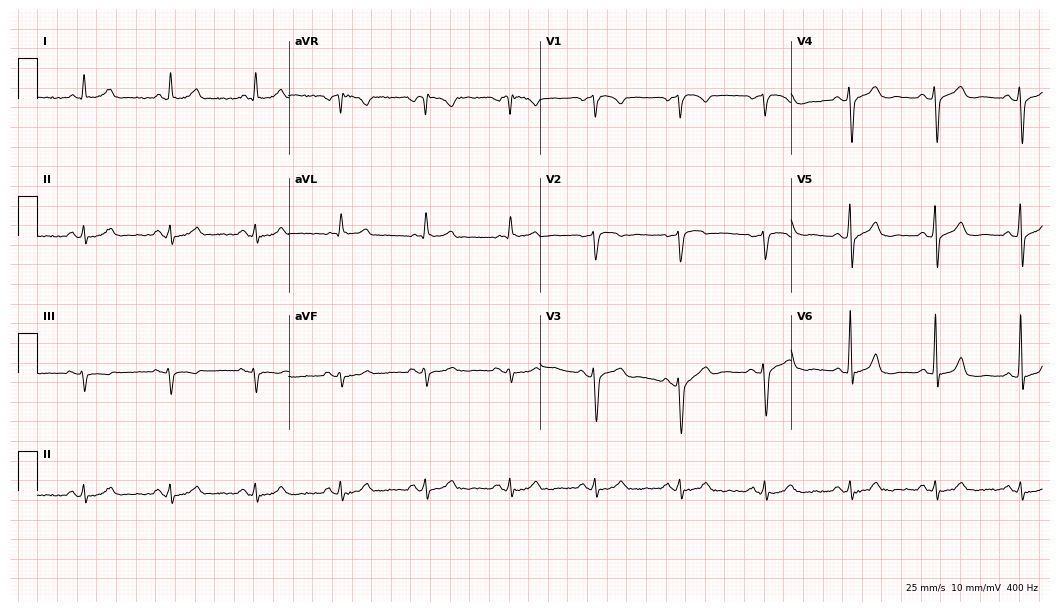
12-lead ECG (10.2-second recording at 400 Hz) from a 70-year-old male. Labelled as a normal ECG.